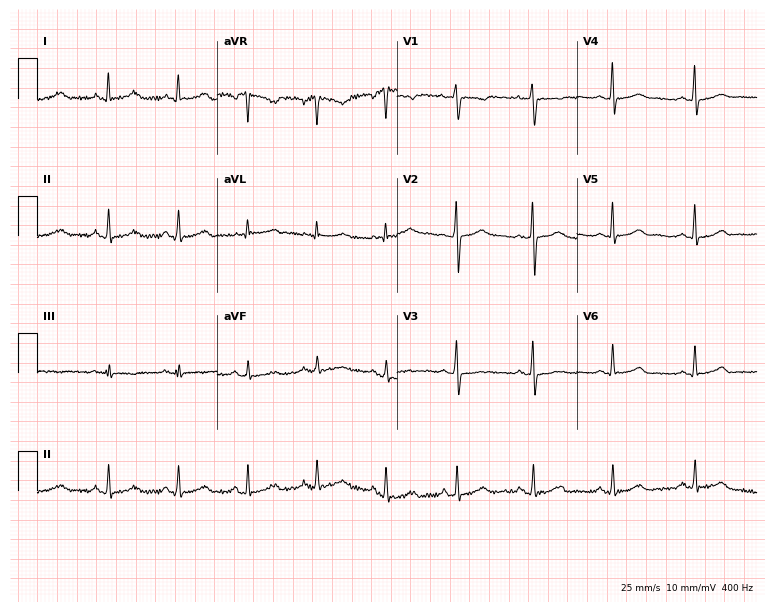
12-lead ECG (7.3-second recording at 400 Hz) from a 40-year-old female. Labelled as a normal ECG.